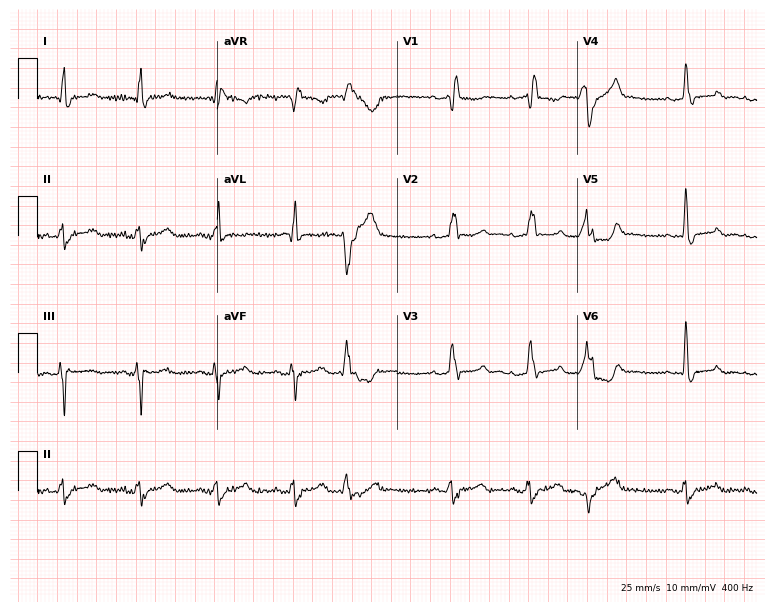
Electrocardiogram, a 73-year-old female. Interpretation includes right bundle branch block (RBBB).